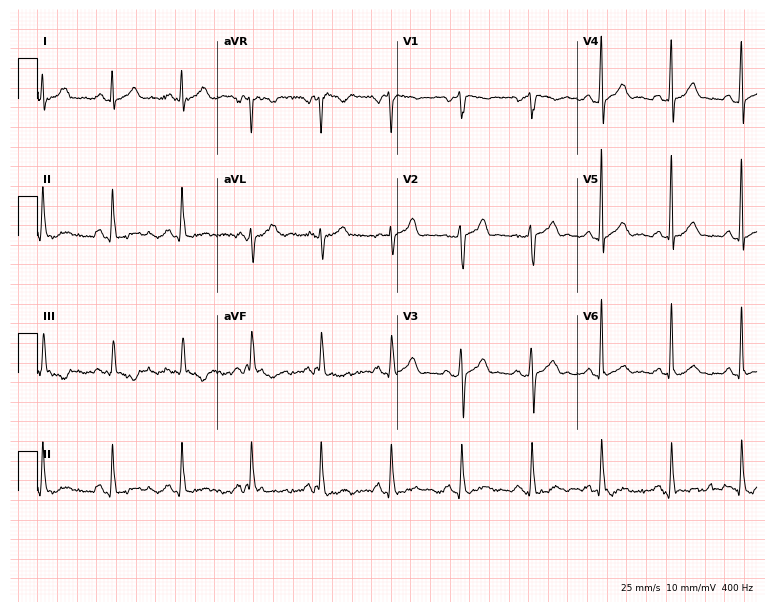
12-lead ECG from a man, 50 years old. No first-degree AV block, right bundle branch block (RBBB), left bundle branch block (LBBB), sinus bradycardia, atrial fibrillation (AF) or sinus tachycardia recorded for this tracing. Findings outside these six are not listed.